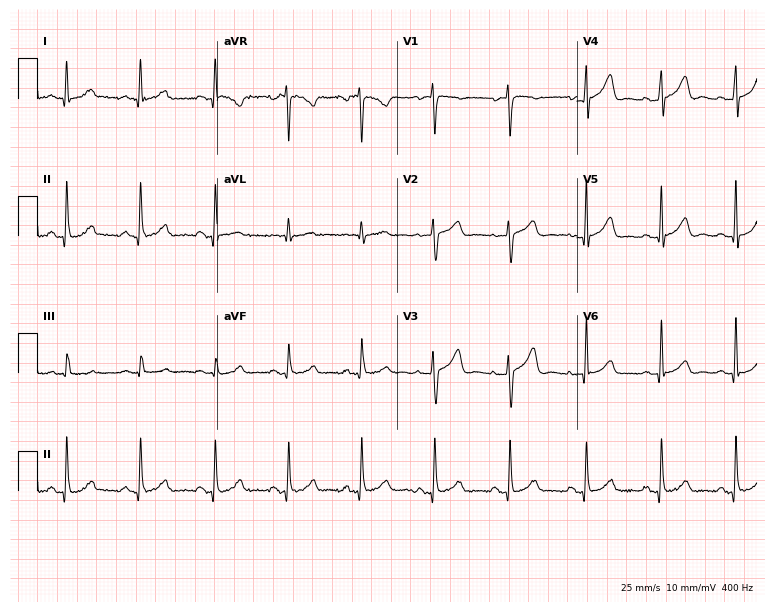
Resting 12-lead electrocardiogram (7.3-second recording at 400 Hz). Patient: a female, 80 years old. Read as a normal ECG.